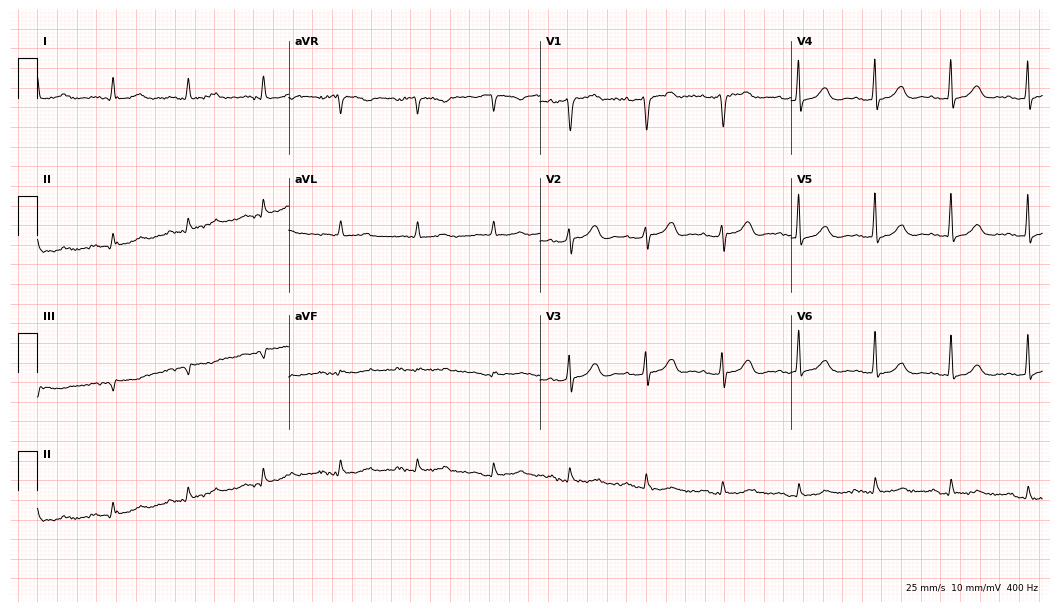
Standard 12-lead ECG recorded from an 82-year-old man. Read as a normal ECG.